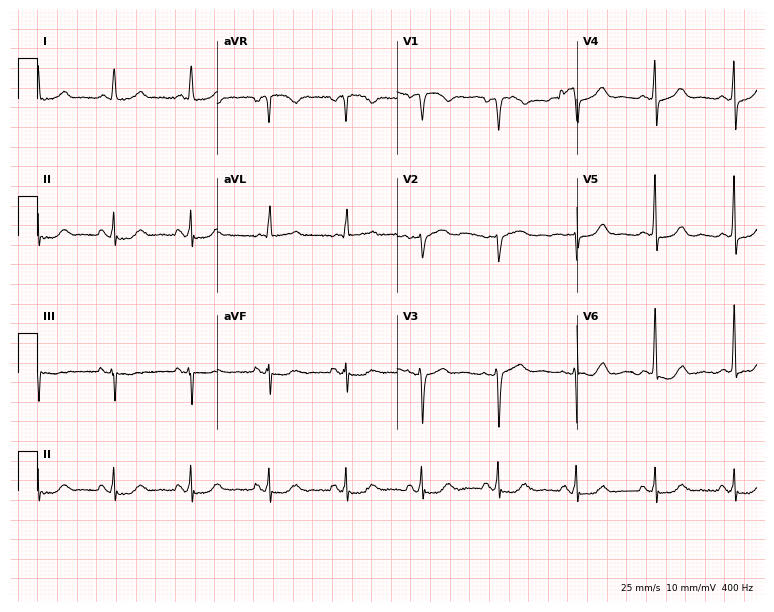
ECG — a female patient, 71 years old. Labelled as a normal ECG.